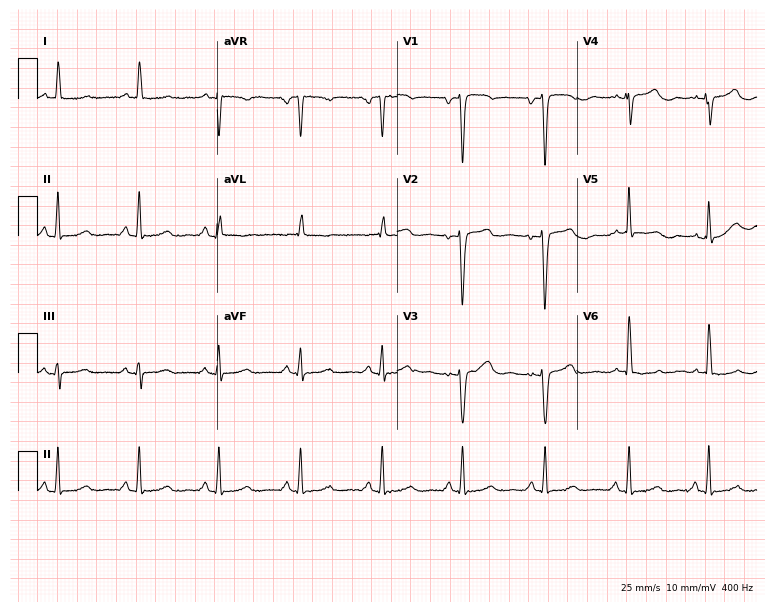
Resting 12-lead electrocardiogram (7.3-second recording at 400 Hz). Patient: a 48-year-old female. None of these six findings is recorded: first-degree AV block, right bundle branch block, left bundle branch block, sinus bradycardia, atrial fibrillation, sinus tachycardia.